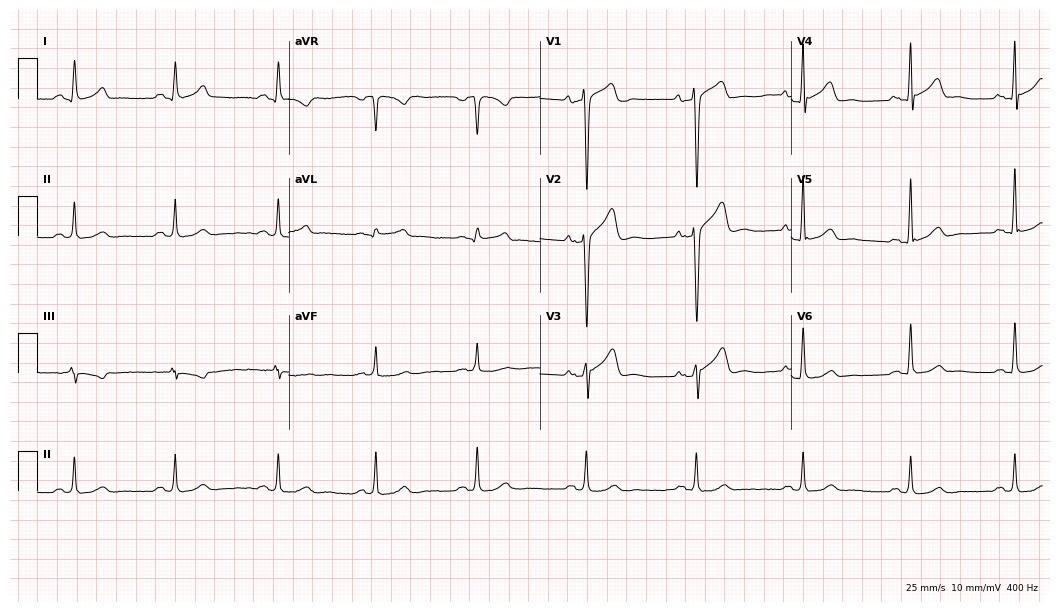
12-lead ECG from a male patient, 47 years old. Recorded interpretation: within normal limits.